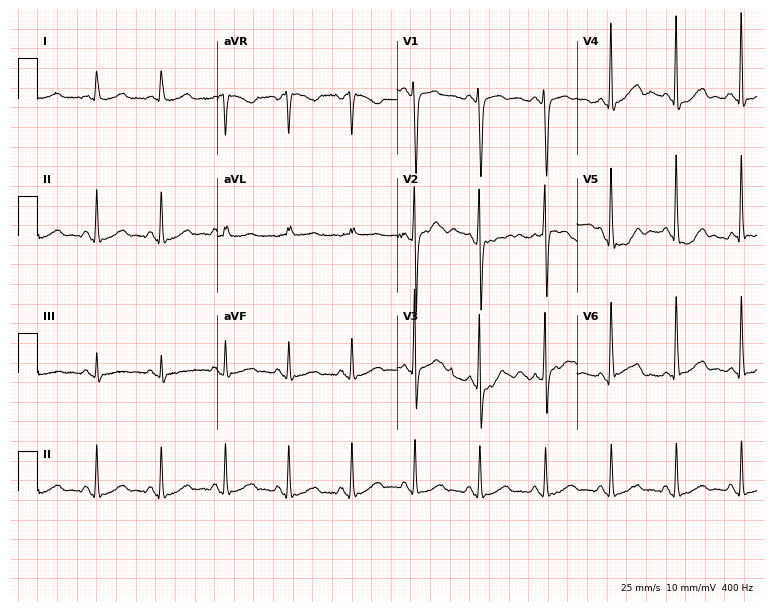
12-lead ECG from a female, 57 years old (7.3-second recording at 400 Hz). Recorded interpretation: within normal limits.